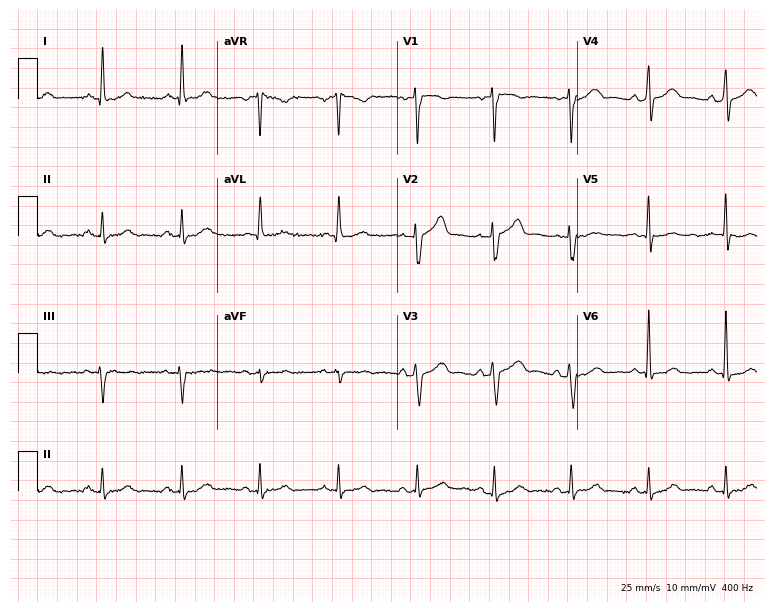
Electrocardiogram (7.3-second recording at 400 Hz), a 74-year-old male patient. Overall reading on record: normal ECG.